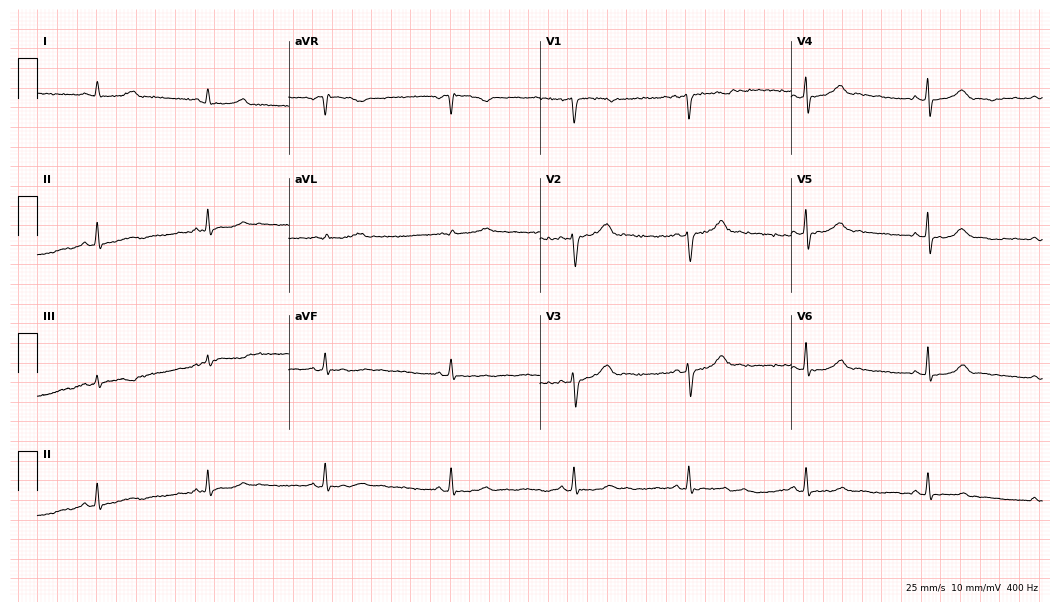
Resting 12-lead electrocardiogram (10.2-second recording at 400 Hz). Patient: a 33-year-old woman. Read as a normal ECG.